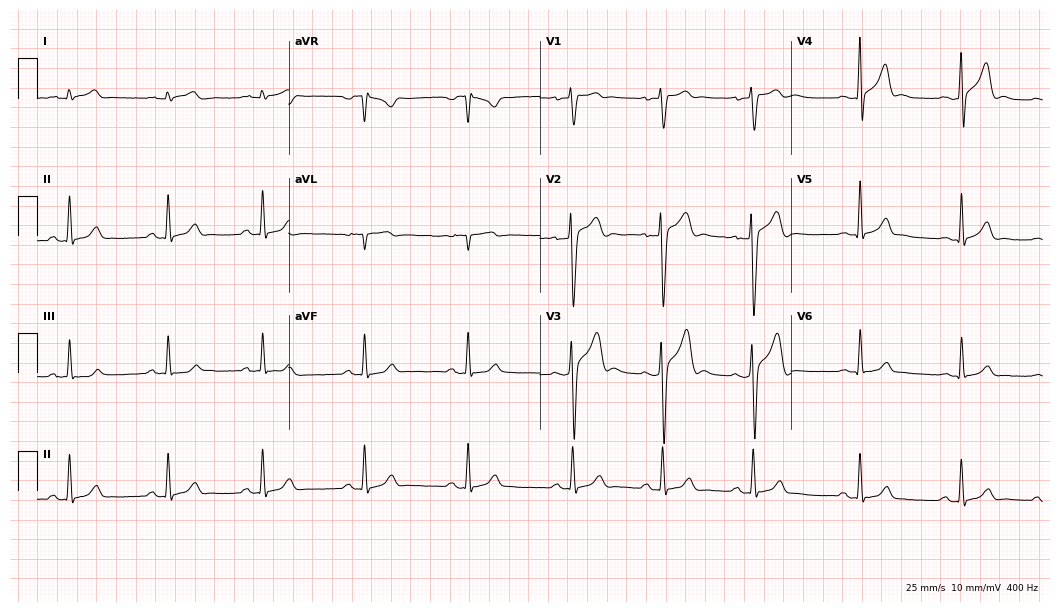
Electrocardiogram (10.2-second recording at 400 Hz), a man, 21 years old. Overall reading on record: normal ECG.